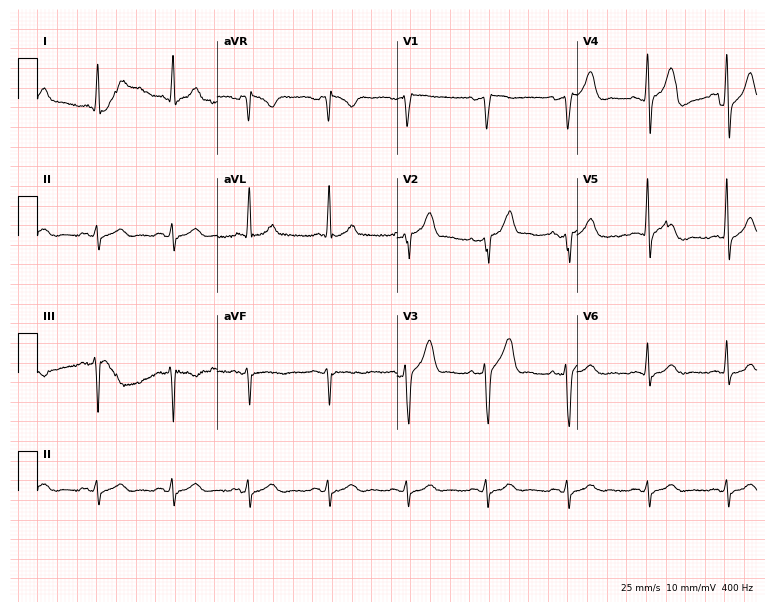
12-lead ECG from a male, 66 years old. Recorded interpretation: within normal limits.